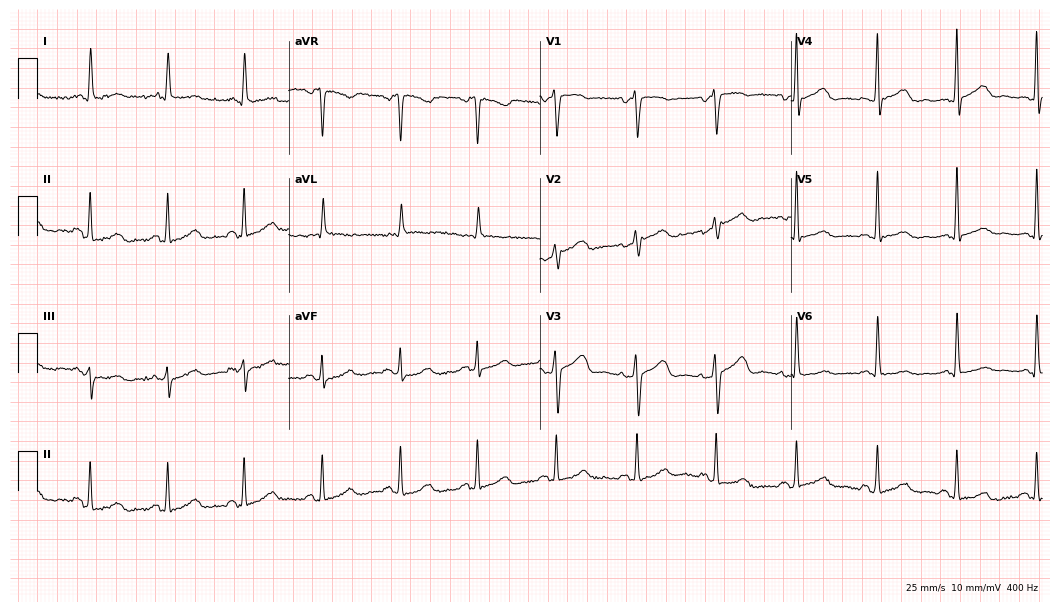
12-lead ECG from a 46-year-old woman. Labelled as a normal ECG.